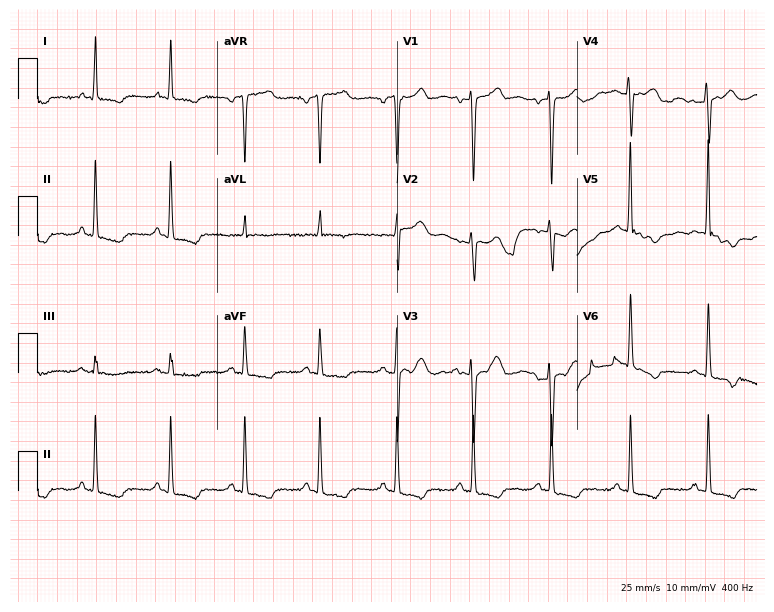
Standard 12-lead ECG recorded from a 45-year-old female patient (7.3-second recording at 400 Hz). None of these six findings is recorded: first-degree AV block, right bundle branch block (RBBB), left bundle branch block (LBBB), sinus bradycardia, atrial fibrillation (AF), sinus tachycardia. Findings outside these six are not listed.